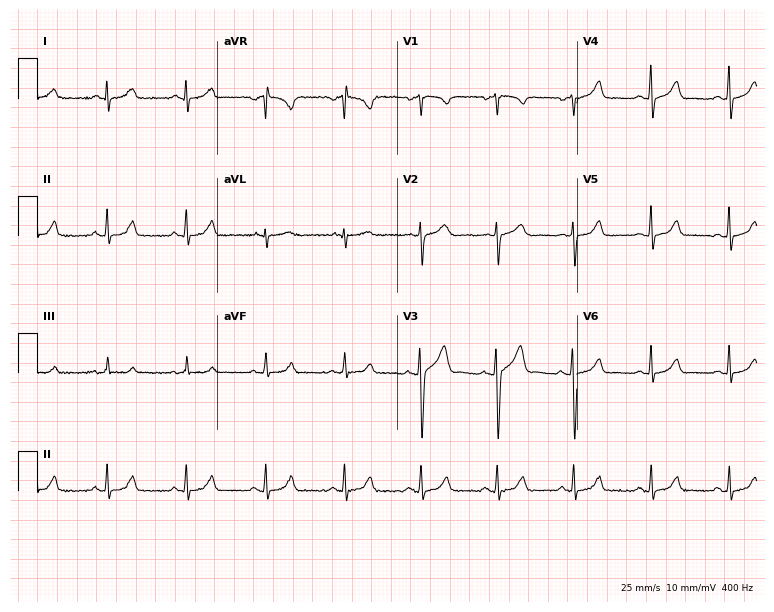
Standard 12-lead ECG recorded from a 27-year-old female (7.3-second recording at 400 Hz). Read as a normal ECG.